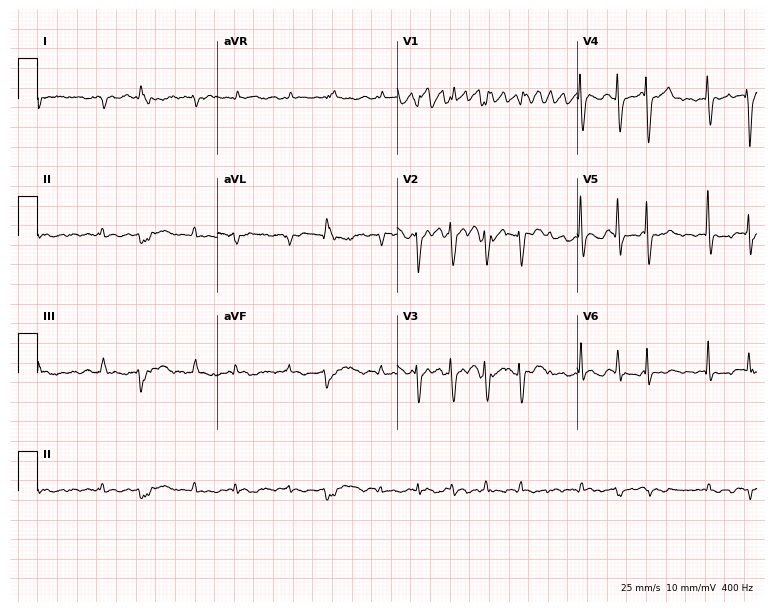
Electrocardiogram, a man, 27 years old. Interpretation includes atrial fibrillation (AF).